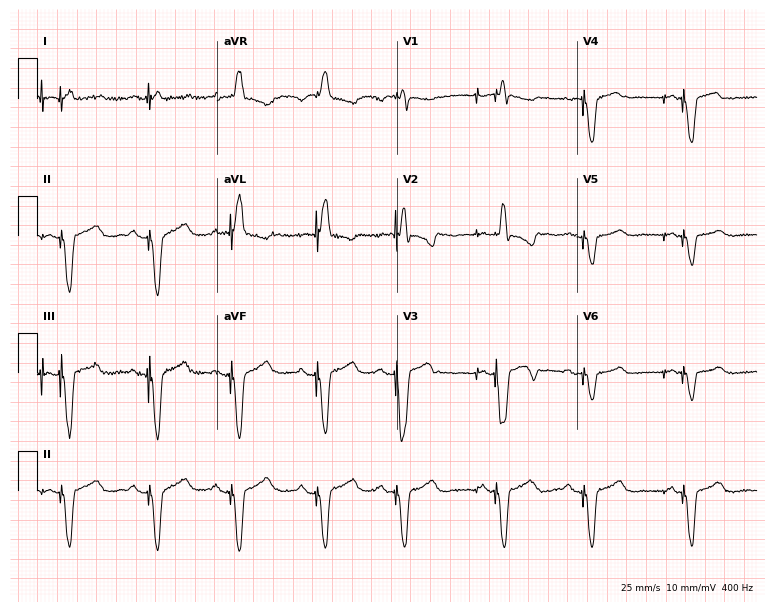
12-lead ECG (7.3-second recording at 400 Hz) from a female, 78 years old. Screened for six findings — first-degree AV block, right bundle branch block, left bundle branch block, sinus bradycardia, atrial fibrillation, sinus tachycardia — none is recorded.